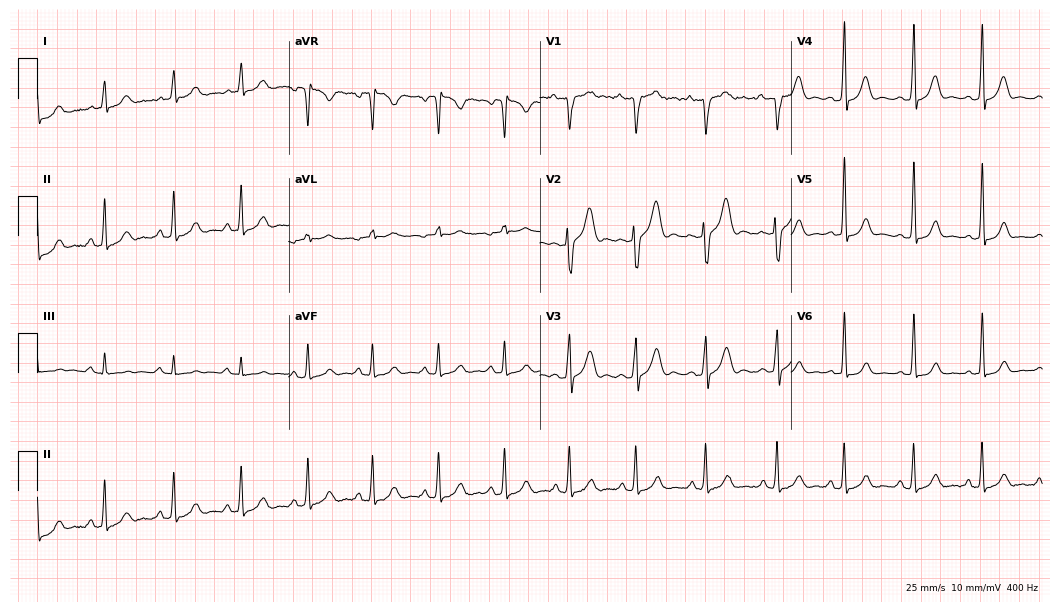
12-lead ECG from a man, 26 years old. Recorded interpretation: within normal limits.